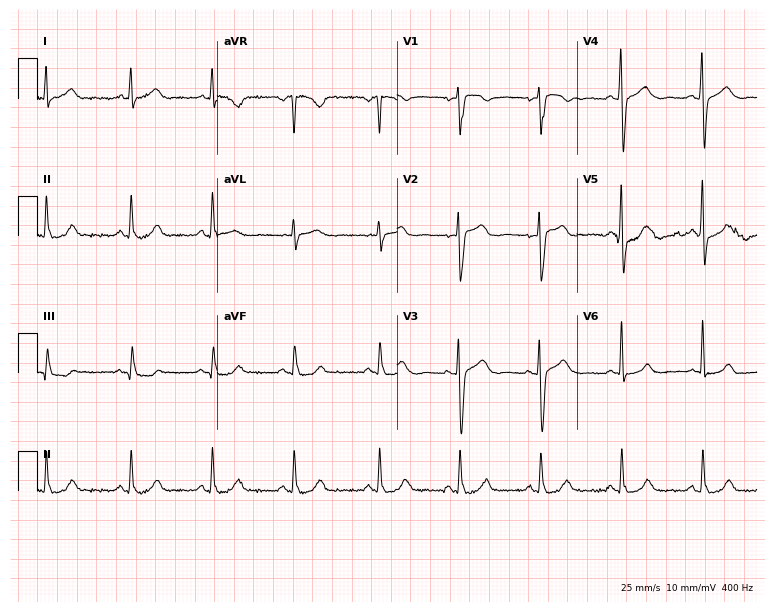
Resting 12-lead electrocardiogram (7.3-second recording at 400 Hz). Patient: a female, 40 years old. Read as a normal ECG.